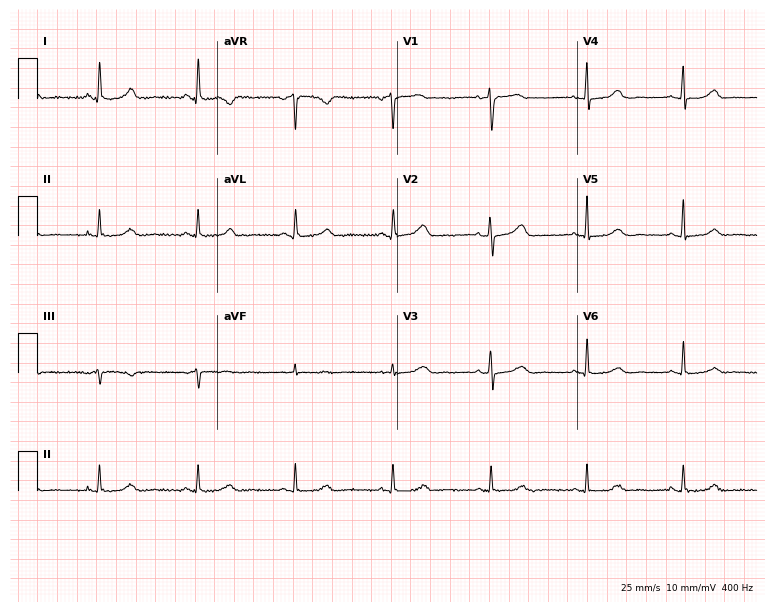
Standard 12-lead ECG recorded from a woman, 61 years old (7.3-second recording at 400 Hz). Read as a normal ECG.